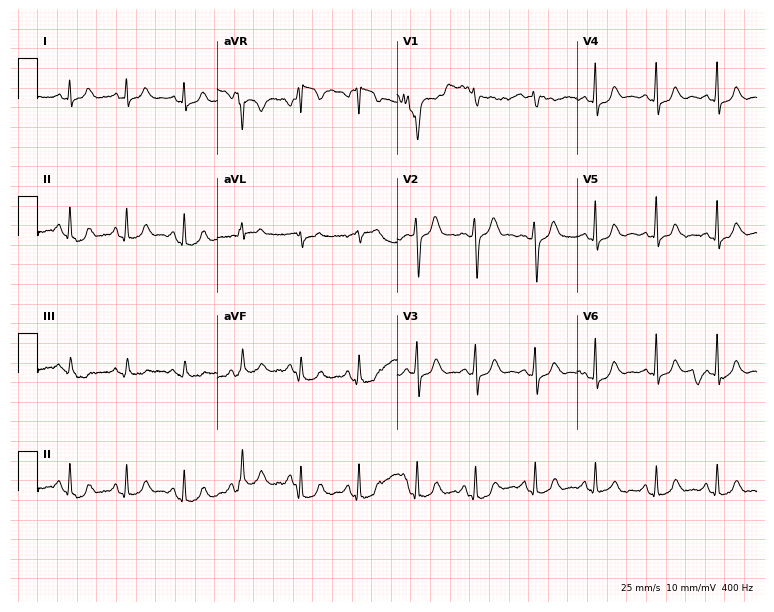
Standard 12-lead ECG recorded from a 53-year-old female (7.3-second recording at 400 Hz). The tracing shows sinus tachycardia (a sinus rate of 100 beats per minute or more).